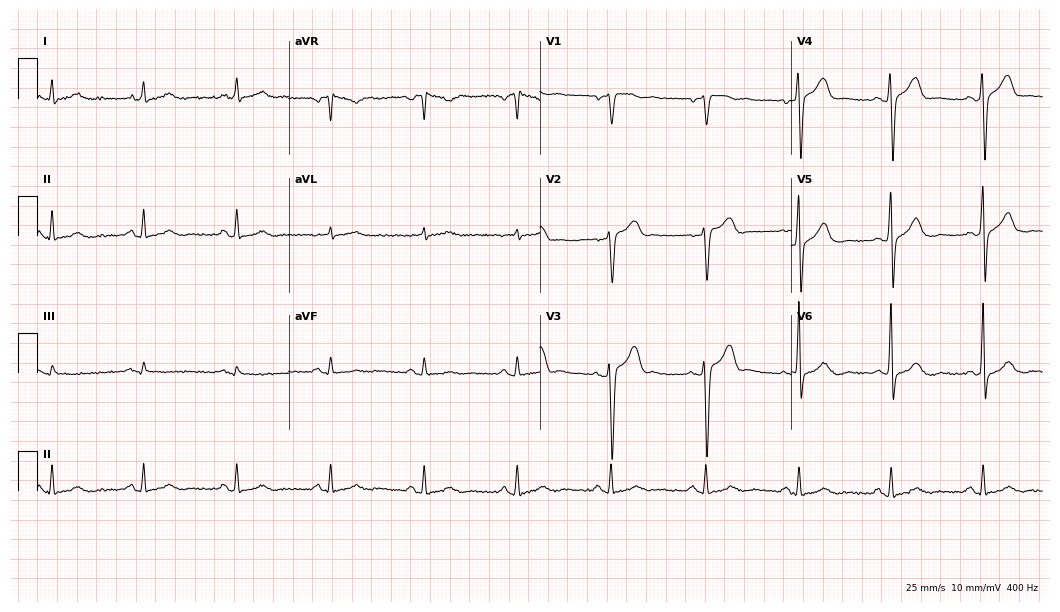
12-lead ECG from a male patient, 65 years old. Screened for six findings — first-degree AV block, right bundle branch block, left bundle branch block, sinus bradycardia, atrial fibrillation, sinus tachycardia — none is recorded.